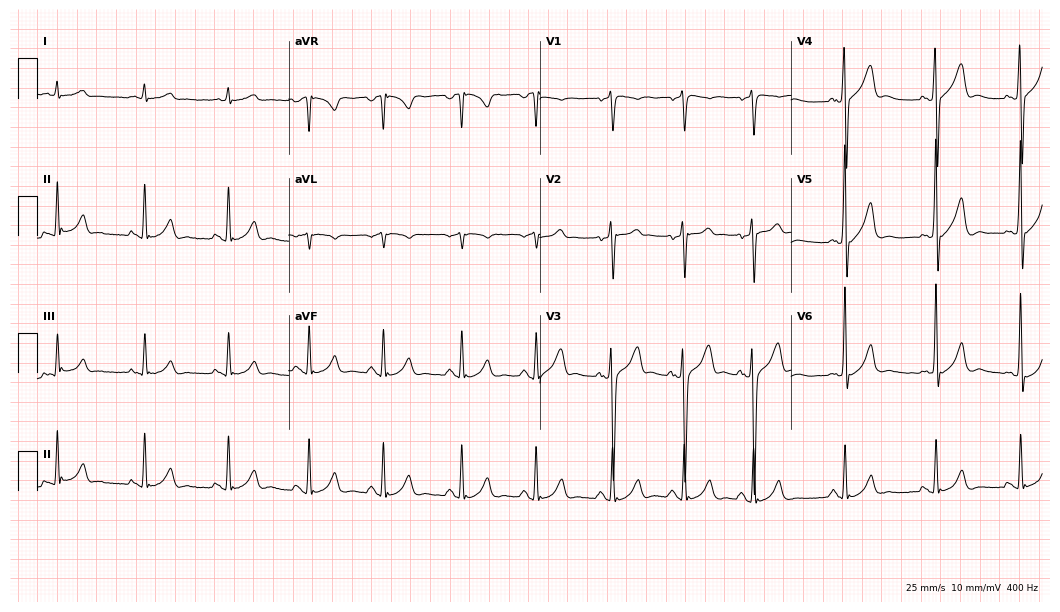
12-lead ECG (10.2-second recording at 400 Hz) from a male, 54 years old. Labelled as a normal ECG.